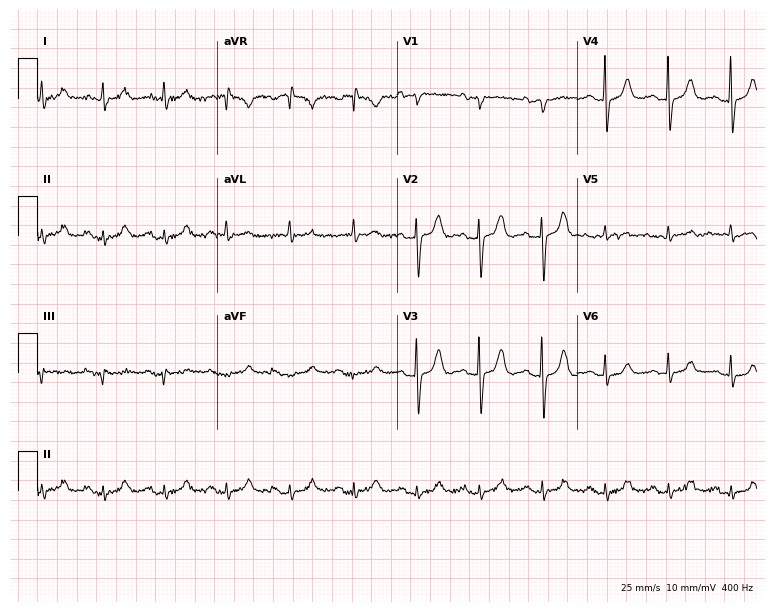
12-lead ECG from a 79-year-old female. No first-degree AV block, right bundle branch block, left bundle branch block, sinus bradycardia, atrial fibrillation or sinus tachycardia recorded for this tracing. Other findings, if any, are not listed.